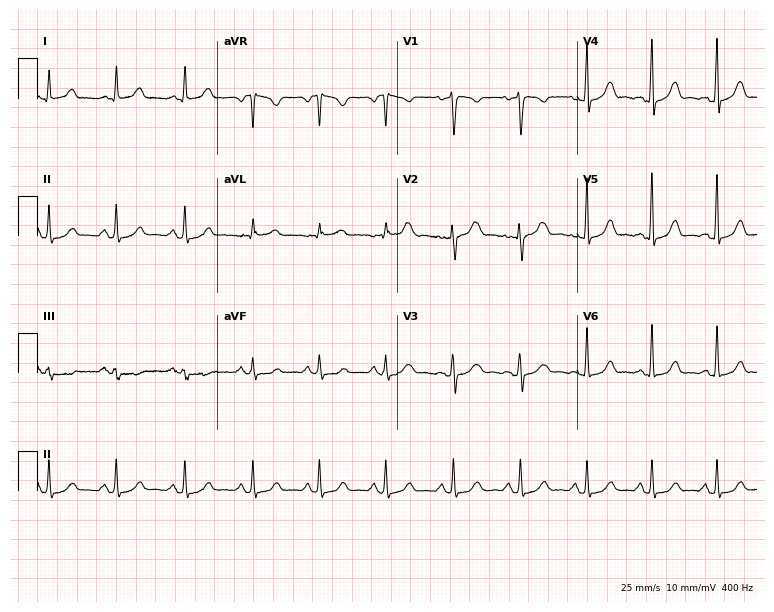
Standard 12-lead ECG recorded from a 33-year-old female patient (7.3-second recording at 400 Hz). None of these six findings is recorded: first-degree AV block, right bundle branch block, left bundle branch block, sinus bradycardia, atrial fibrillation, sinus tachycardia.